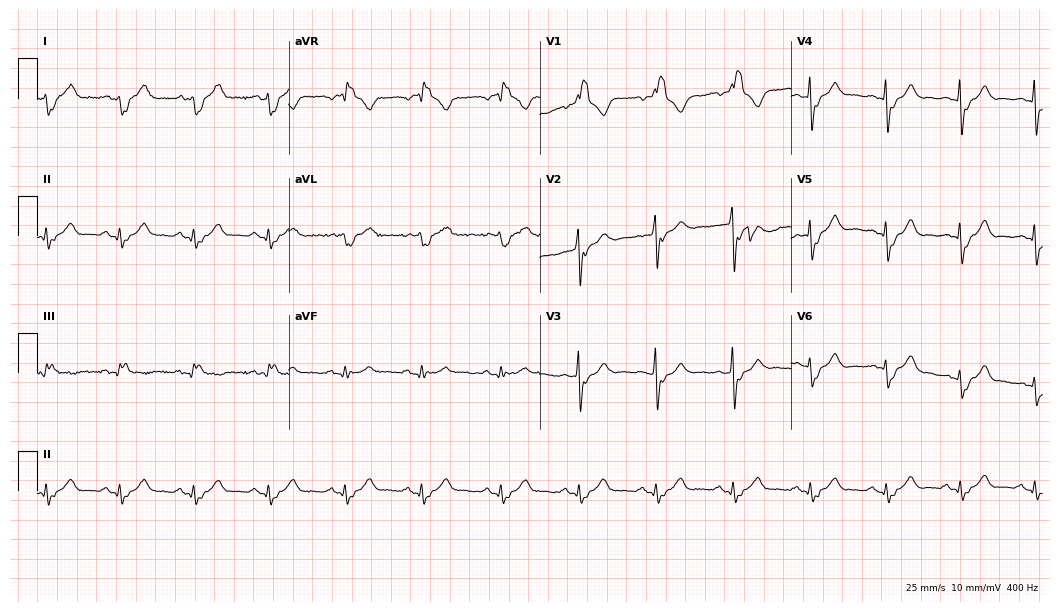
12-lead ECG from a man, 66 years old. Shows right bundle branch block (RBBB).